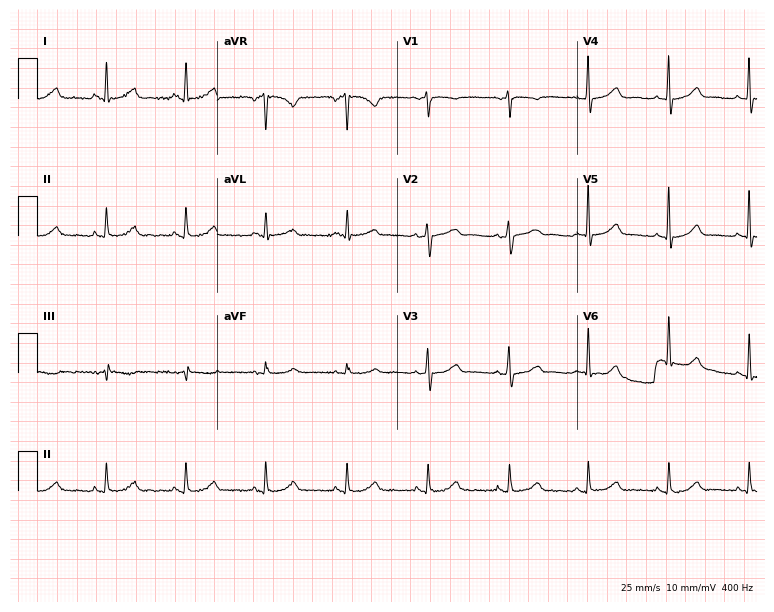
ECG (7.3-second recording at 400 Hz) — a woman, 61 years old. Labelled as a normal ECG.